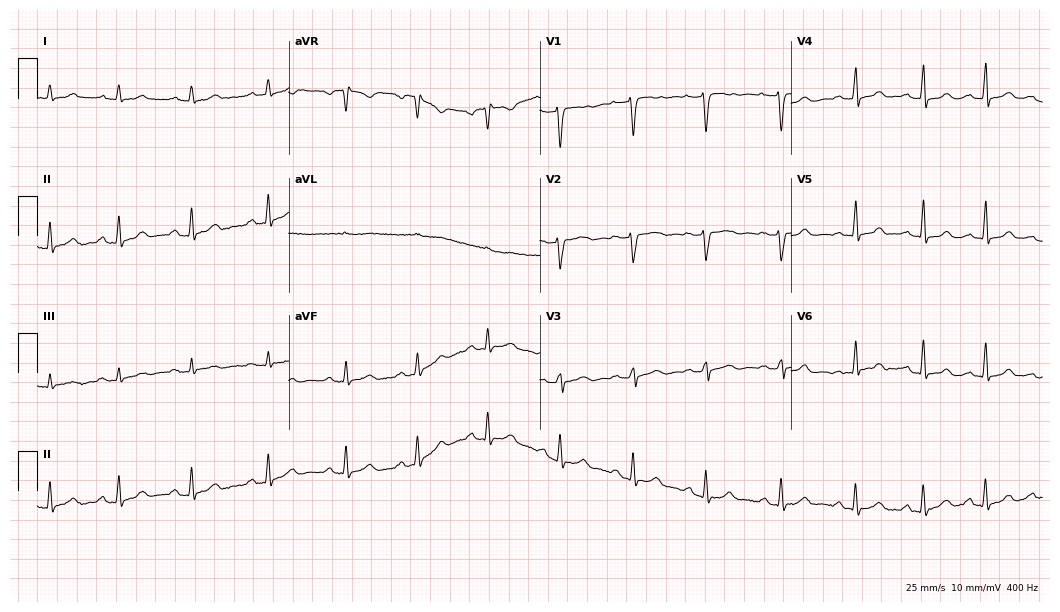
Standard 12-lead ECG recorded from a female, 19 years old. Read as a normal ECG.